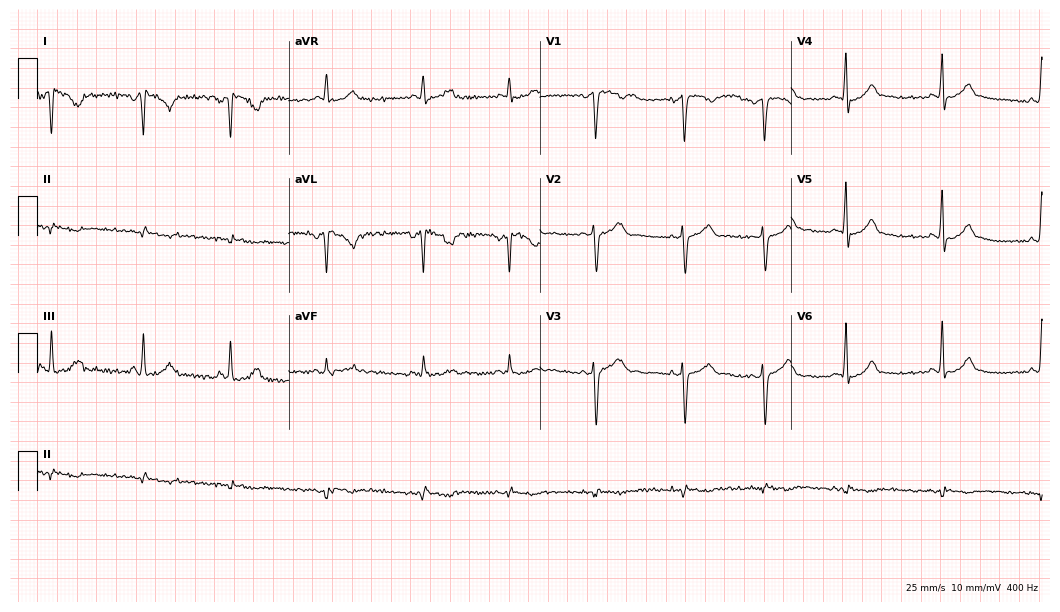
12-lead ECG from a woman, 33 years old. Screened for six findings — first-degree AV block, right bundle branch block (RBBB), left bundle branch block (LBBB), sinus bradycardia, atrial fibrillation (AF), sinus tachycardia — none is recorded. Only these six findings were labelled.